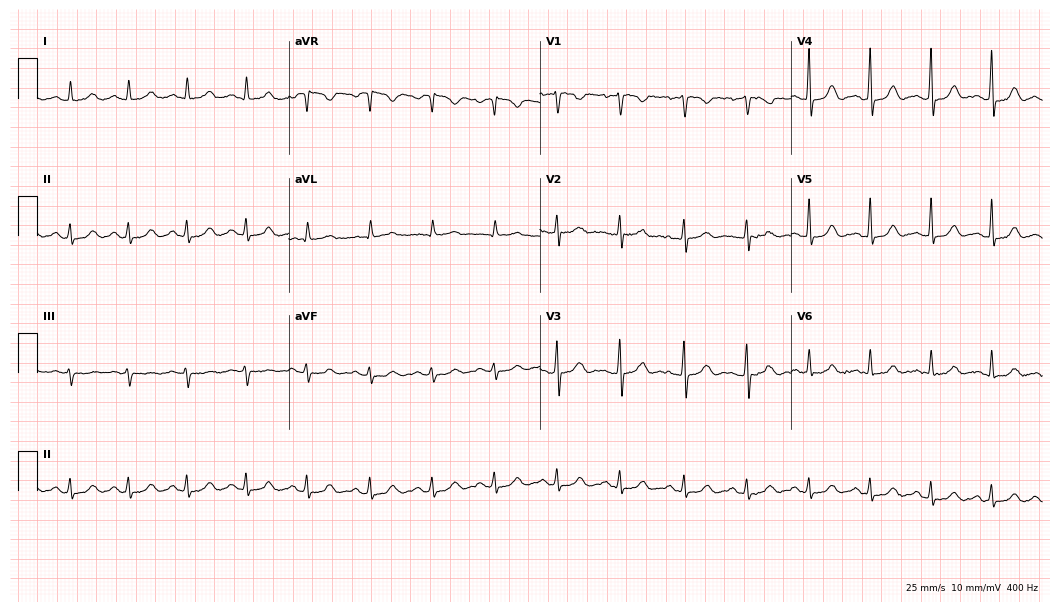
Electrocardiogram, a male, 51 years old. Of the six screened findings (first-degree AV block, right bundle branch block (RBBB), left bundle branch block (LBBB), sinus bradycardia, atrial fibrillation (AF), sinus tachycardia), none is recorded. Only these six findings were labelled.